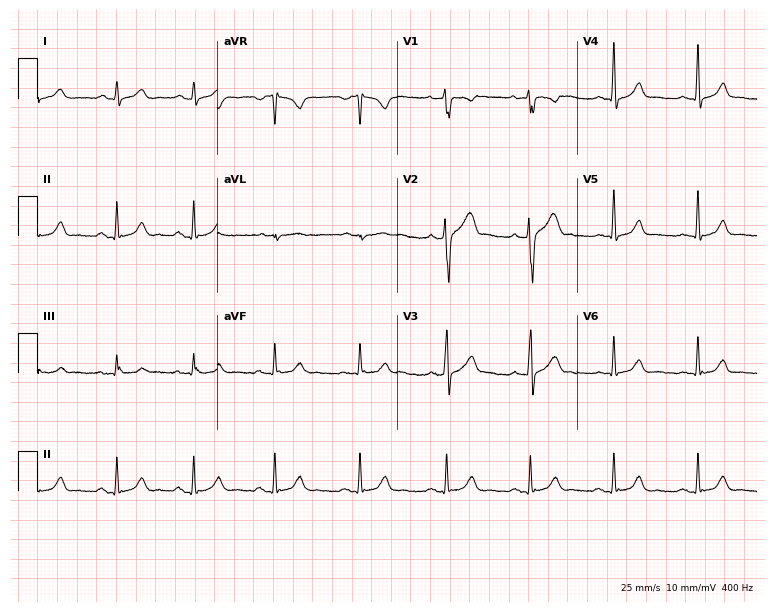
Electrocardiogram, a male patient, 23 years old. Overall reading on record: normal ECG.